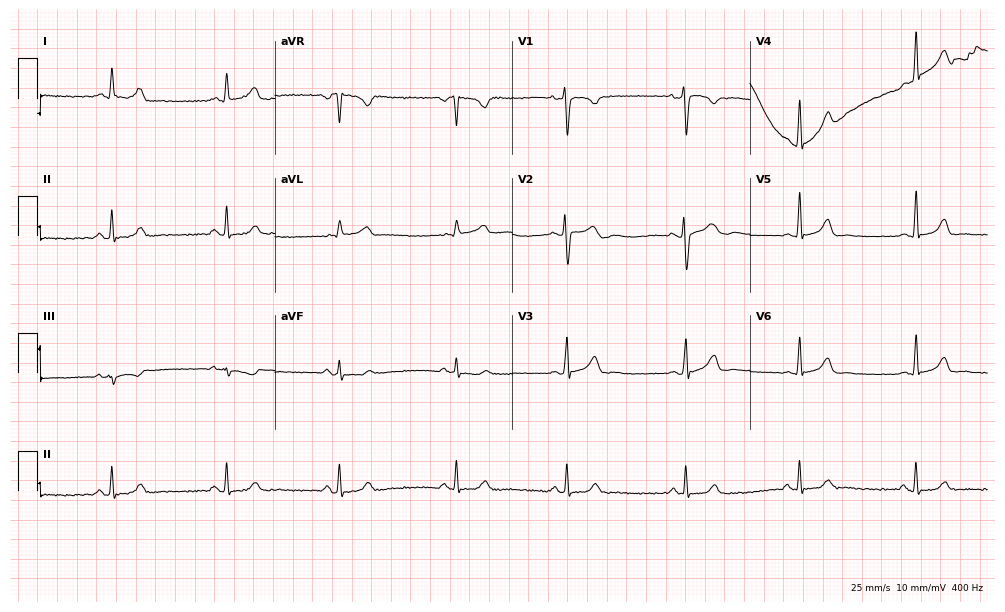
Resting 12-lead electrocardiogram. Patient: a female, 39 years old. None of these six findings is recorded: first-degree AV block, right bundle branch block, left bundle branch block, sinus bradycardia, atrial fibrillation, sinus tachycardia.